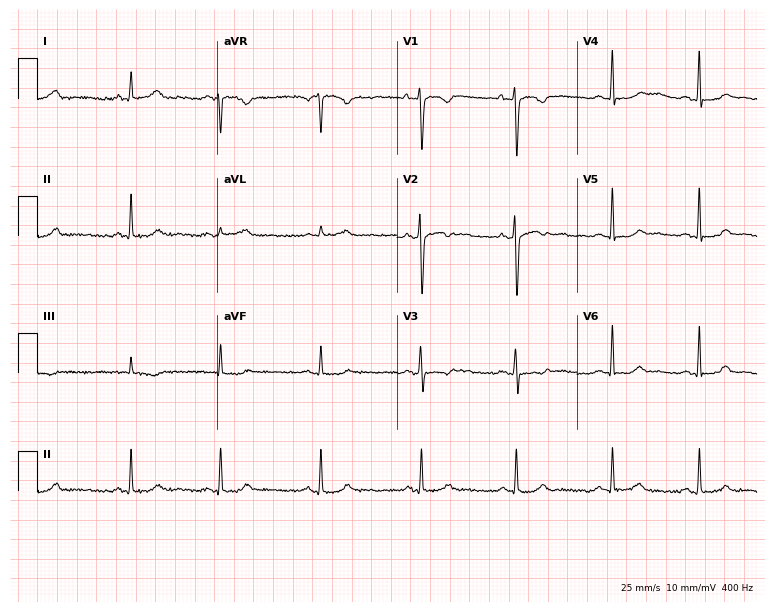
Electrocardiogram (7.3-second recording at 400 Hz), a female patient, 27 years old. Of the six screened findings (first-degree AV block, right bundle branch block, left bundle branch block, sinus bradycardia, atrial fibrillation, sinus tachycardia), none is recorded. Findings outside these six are not listed.